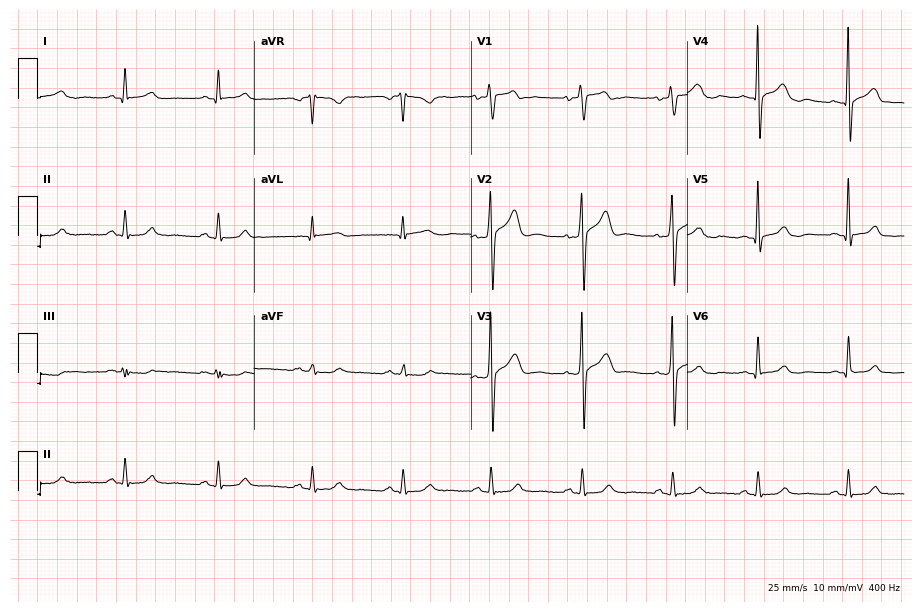
Resting 12-lead electrocardiogram. Patient: a male, 57 years old. Read as a normal ECG.